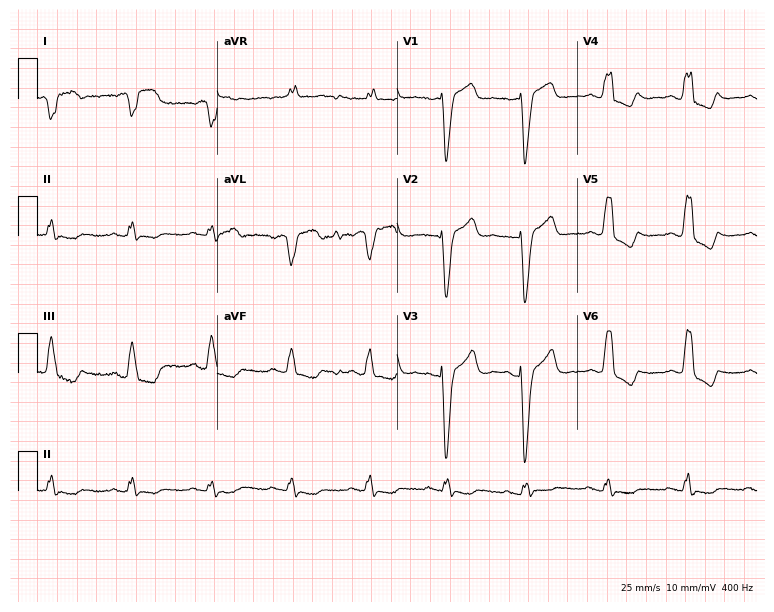
12-lead ECG from a 70-year-old female (7.3-second recording at 400 Hz). Shows left bundle branch block (LBBB).